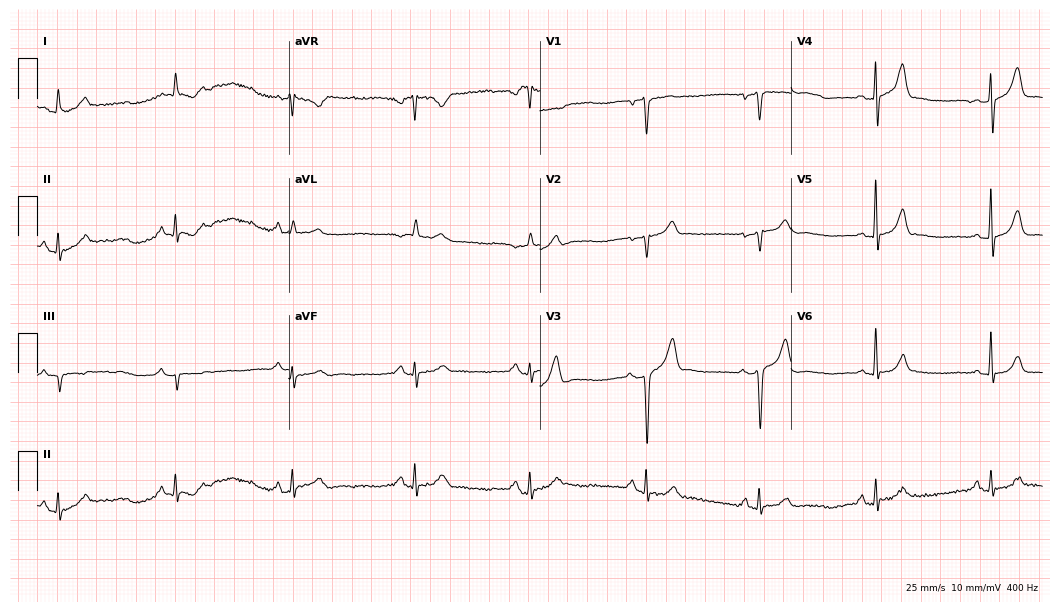
12-lead ECG from a 79-year-old male (10.2-second recording at 400 Hz). No first-degree AV block, right bundle branch block, left bundle branch block, sinus bradycardia, atrial fibrillation or sinus tachycardia recorded for this tracing. Other findings, if any, are not listed.